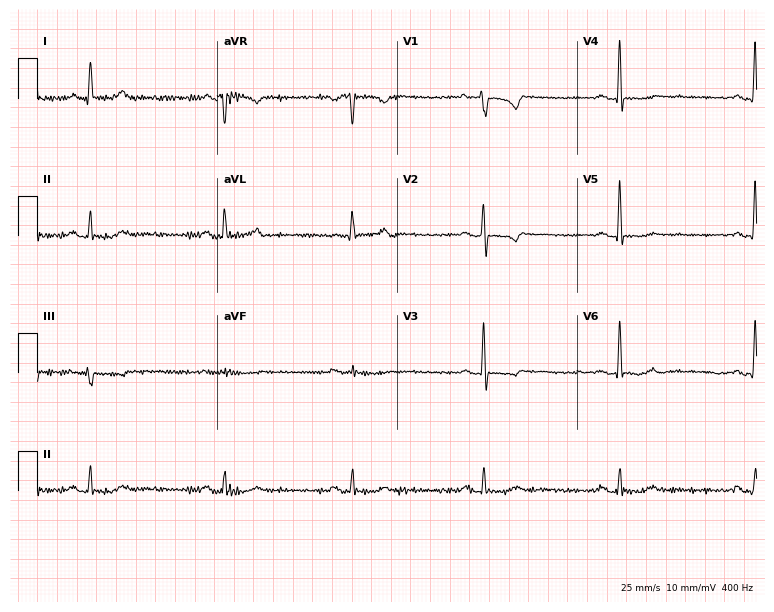
ECG (7.3-second recording at 400 Hz) — a female patient, 61 years old. Findings include sinus bradycardia (a sinus rate of 50 beats per minute or less).